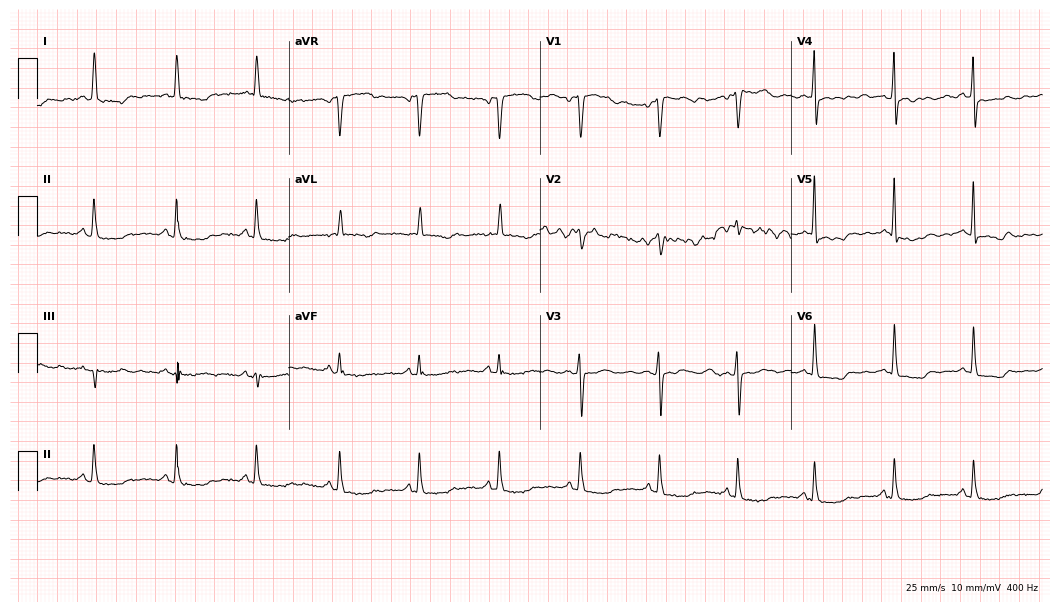
12-lead ECG from a female patient, 67 years old. No first-degree AV block, right bundle branch block, left bundle branch block, sinus bradycardia, atrial fibrillation or sinus tachycardia recorded for this tracing.